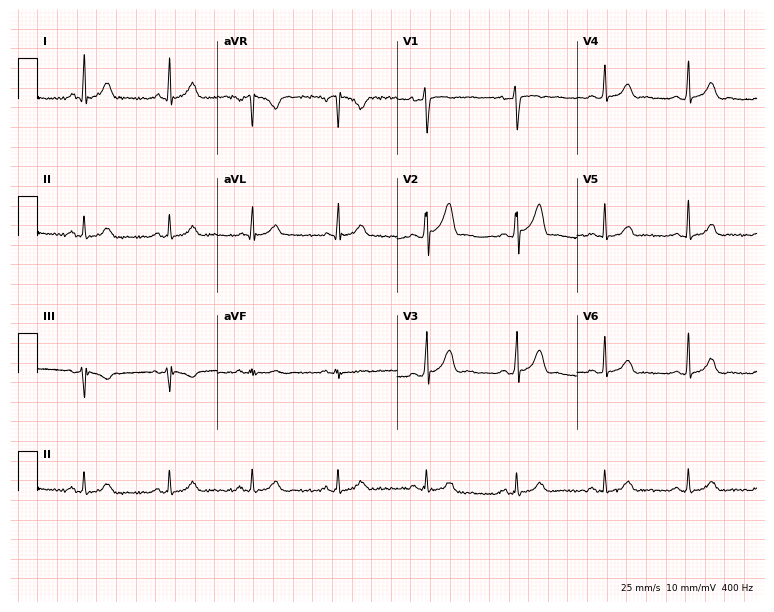
Electrocardiogram (7.3-second recording at 400 Hz), a 31-year-old man. Overall reading on record: normal ECG.